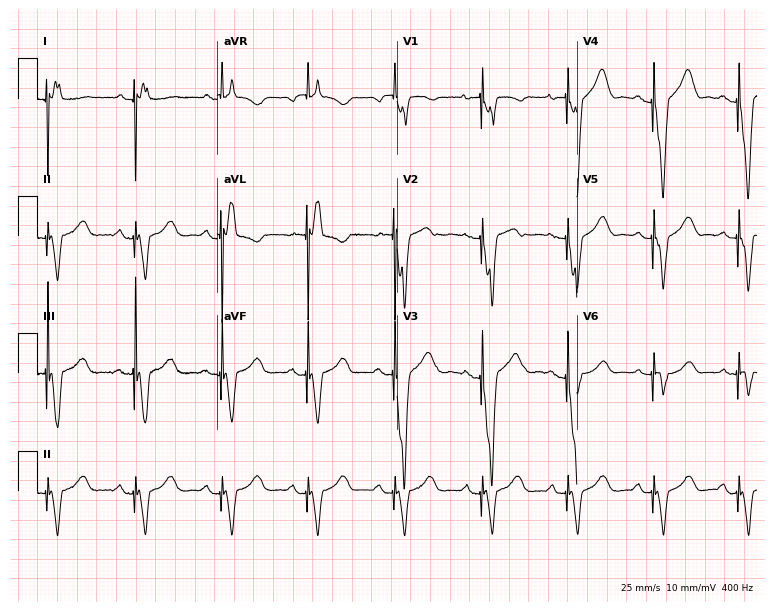
Electrocardiogram, a woman, 79 years old. Of the six screened findings (first-degree AV block, right bundle branch block, left bundle branch block, sinus bradycardia, atrial fibrillation, sinus tachycardia), none is recorded. Other findings, if any, are not listed.